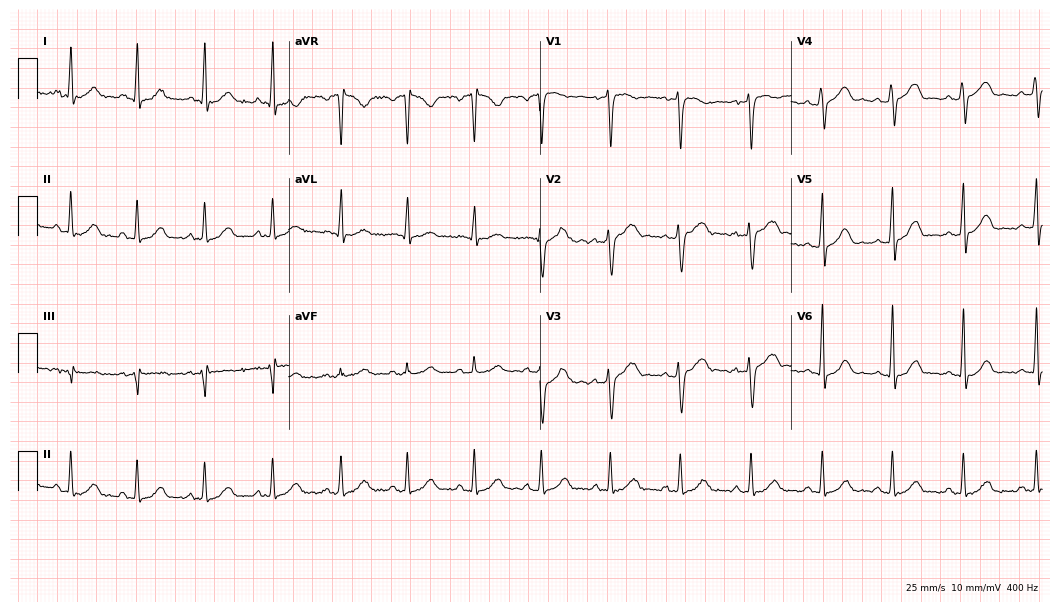
Standard 12-lead ECG recorded from a 27-year-old female patient. Read as a normal ECG.